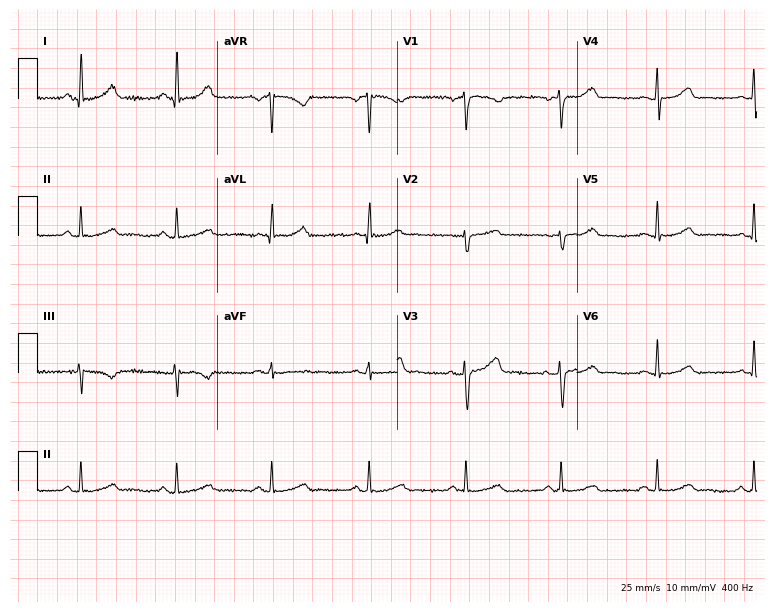
12-lead ECG from a 48-year-old female (7.3-second recording at 400 Hz). Recorded interpretation: within normal limits.